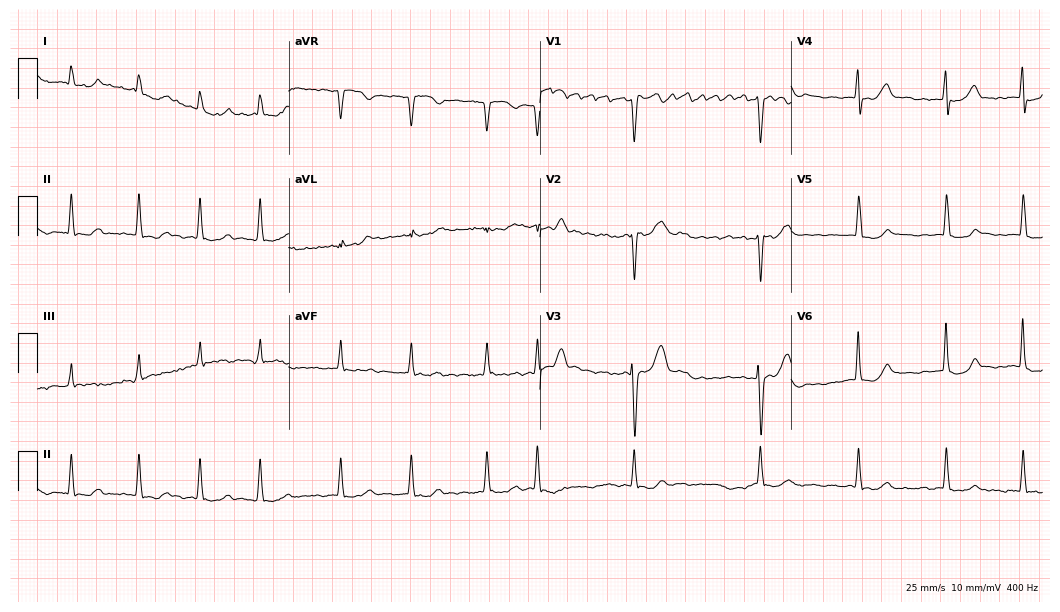
12-lead ECG (10.2-second recording at 400 Hz) from a woman, 56 years old. Findings include atrial fibrillation.